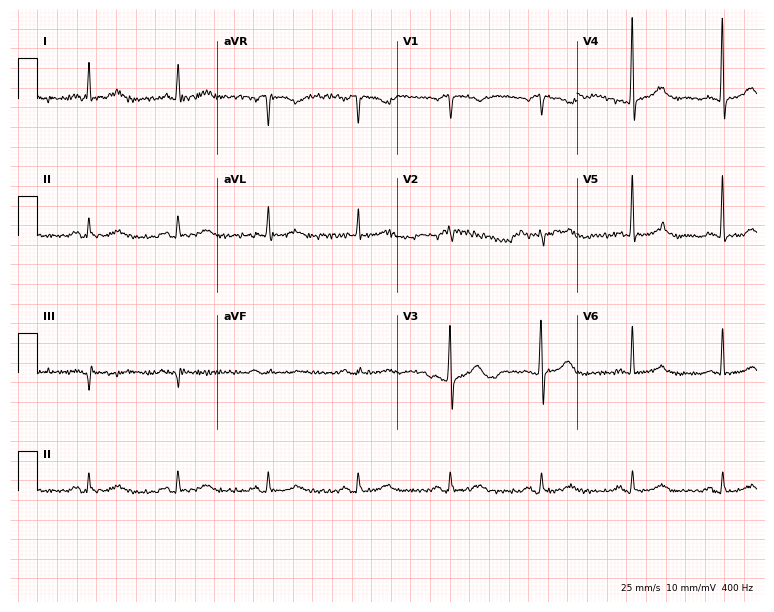
12-lead ECG from a male patient, 80 years old. Labelled as a normal ECG.